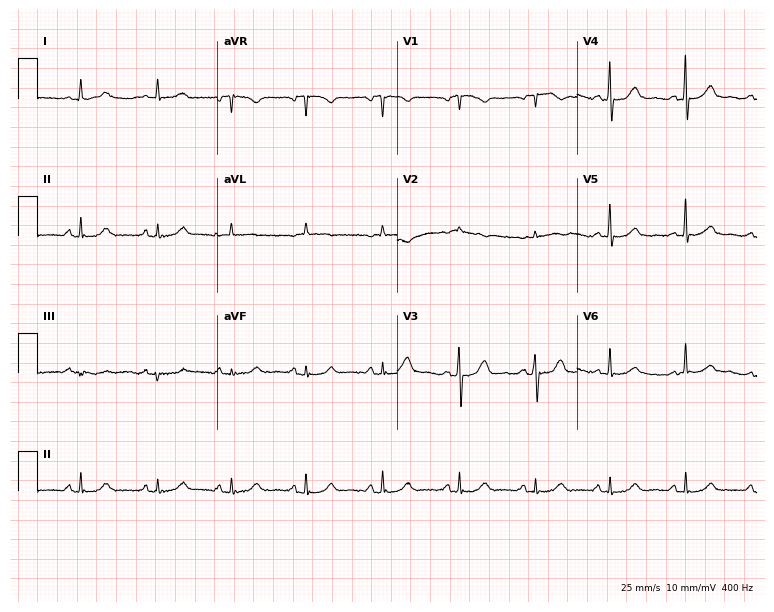
12-lead ECG from a man, 80 years old. Labelled as a normal ECG.